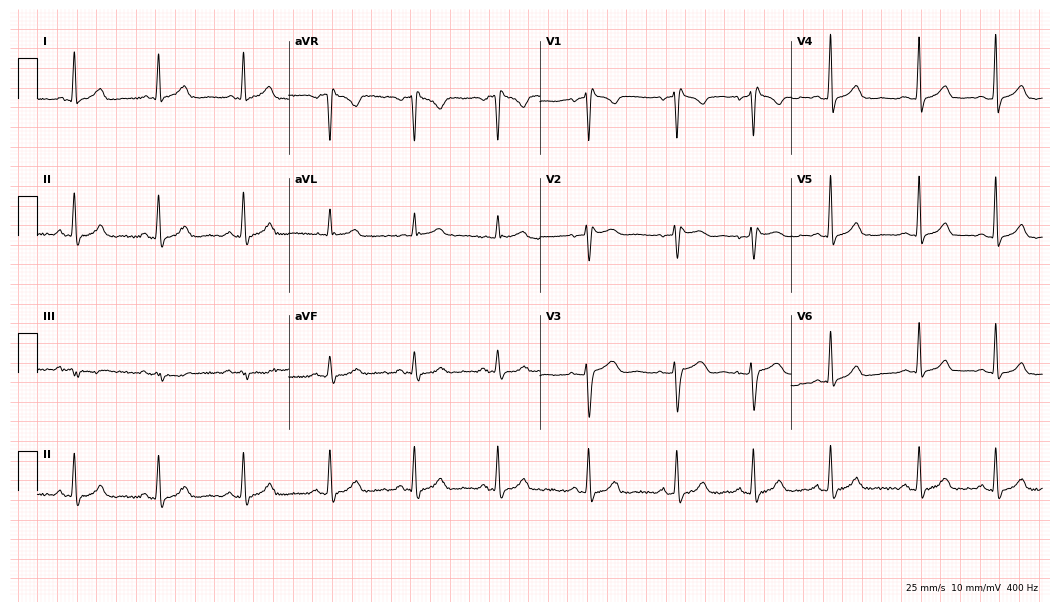
Resting 12-lead electrocardiogram (10.2-second recording at 400 Hz). Patient: a 38-year-old woman. None of these six findings is recorded: first-degree AV block, right bundle branch block, left bundle branch block, sinus bradycardia, atrial fibrillation, sinus tachycardia. Other findings, if any, are not listed.